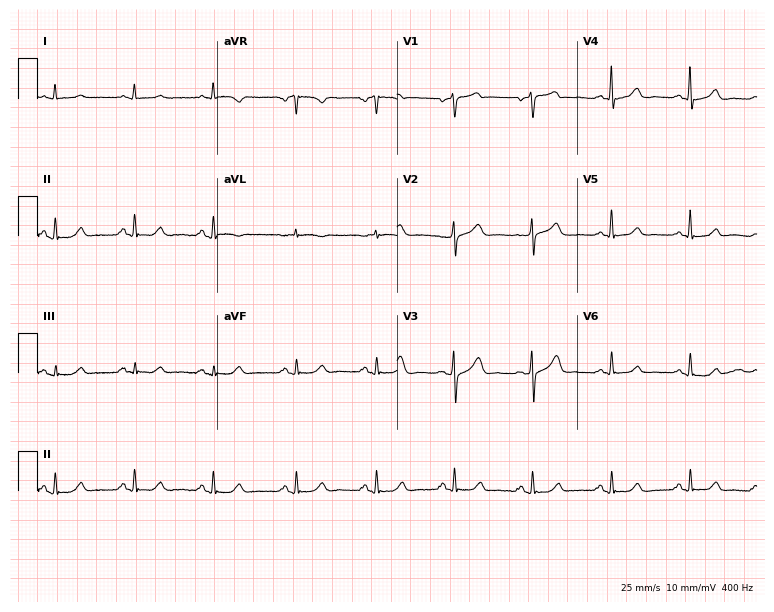
Standard 12-lead ECG recorded from a male patient, 55 years old (7.3-second recording at 400 Hz). None of these six findings is recorded: first-degree AV block, right bundle branch block (RBBB), left bundle branch block (LBBB), sinus bradycardia, atrial fibrillation (AF), sinus tachycardia. Findings outside these six are not listed.